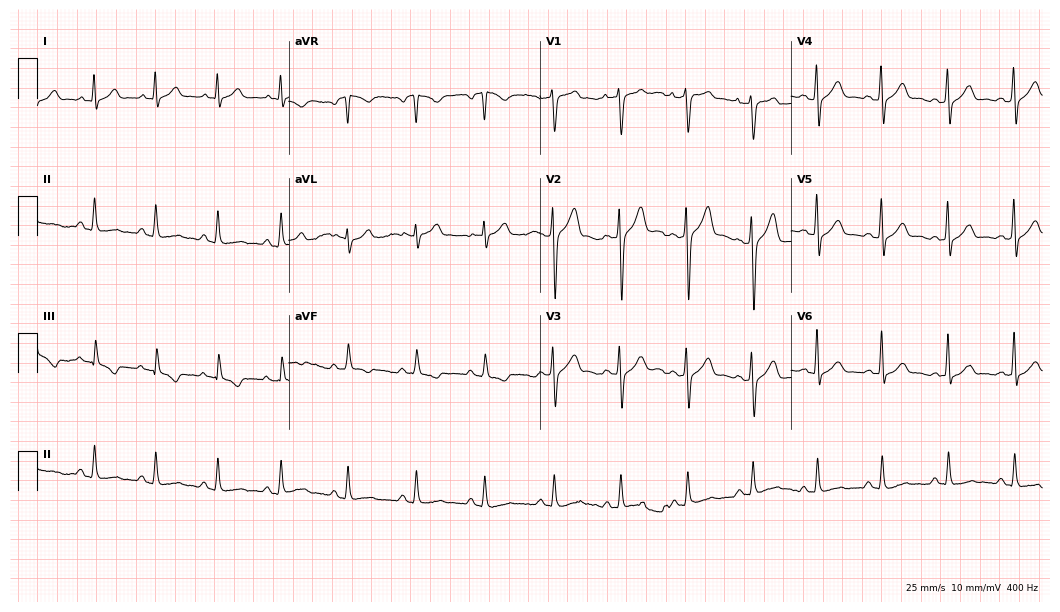
12-lead ECG from a man, 42 years old (10.2-second recording at 400 Hz). No first-degree AV block, right bundle branch block, left bundle branch block, sinus bradycardia, atrial fibrillation or sinus tachycardia recorded for this tracing.